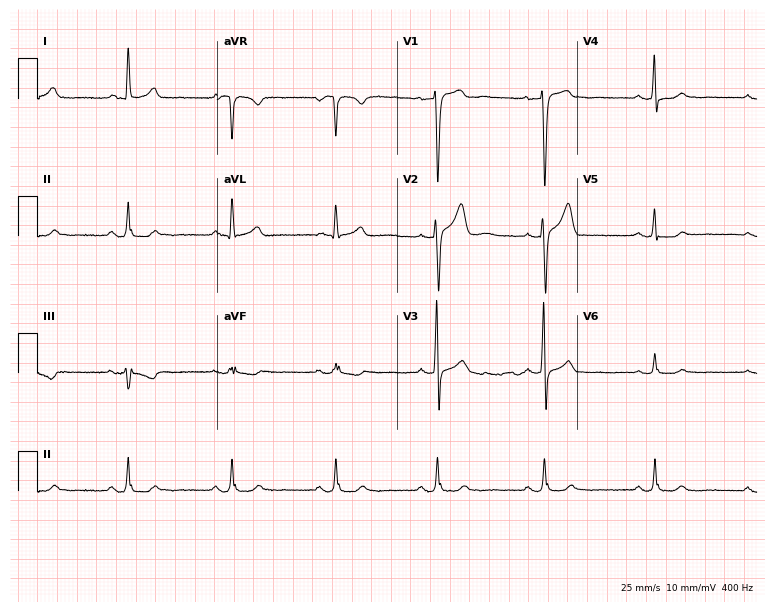
Electrocardiogram, a 39-year-old man. Of the six screened findings (first-degree AV block, right bundle branch block, left bundle branch block, sinus bradycardia, atrial fibrillation, sinus tachycardia), none is recorded. Only these six findings were labelled.